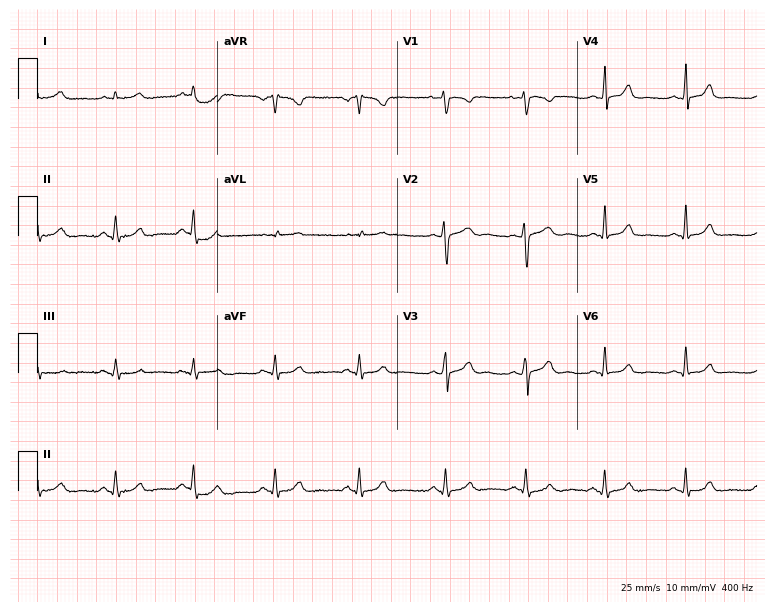
Resting 12-lead electrocardiogram. Patient: a 24-year-old female. Read as a normal ECG.